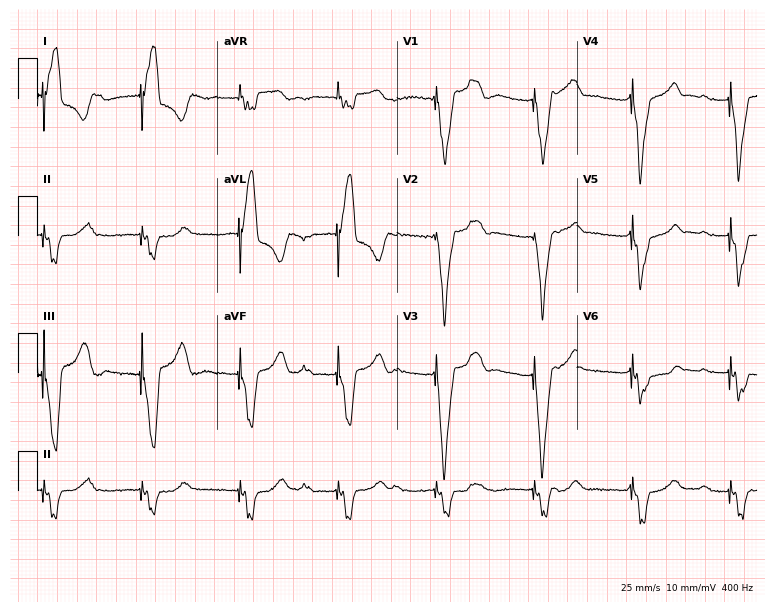
ECG (7.3-second recording at 400 Hz) — a 66-year-old woman. Screened for six findings — first-degree AV block, right bundle branch block (RBBB), left bundle branch block (LBBB), sinus bradycardia, atrial fibrillation (AF), sinus tachycardia — none is recorded.